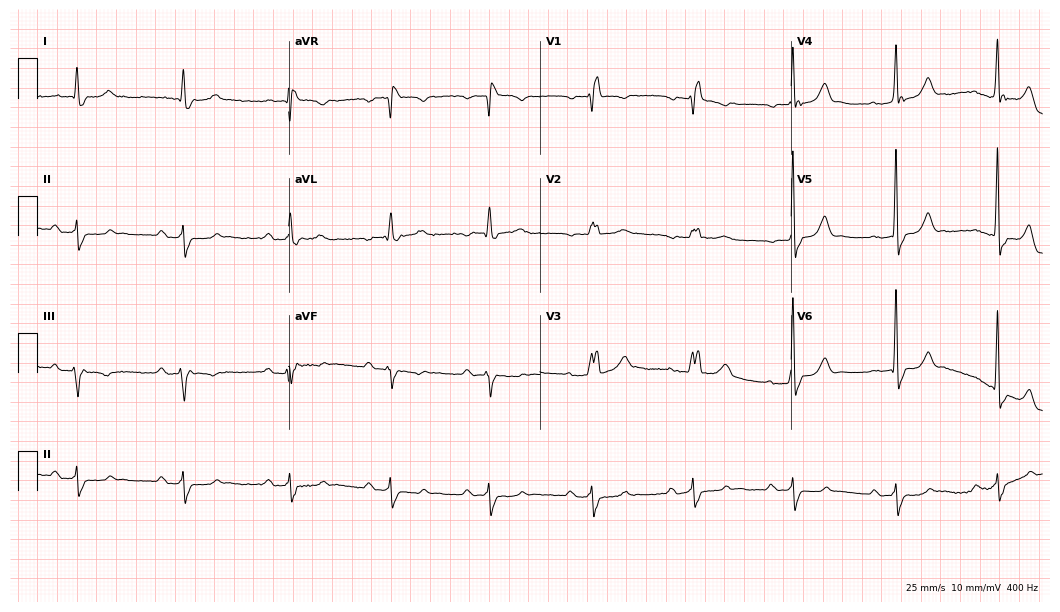
ECG — a man, 85 years old. Findings include right bundle branch block.